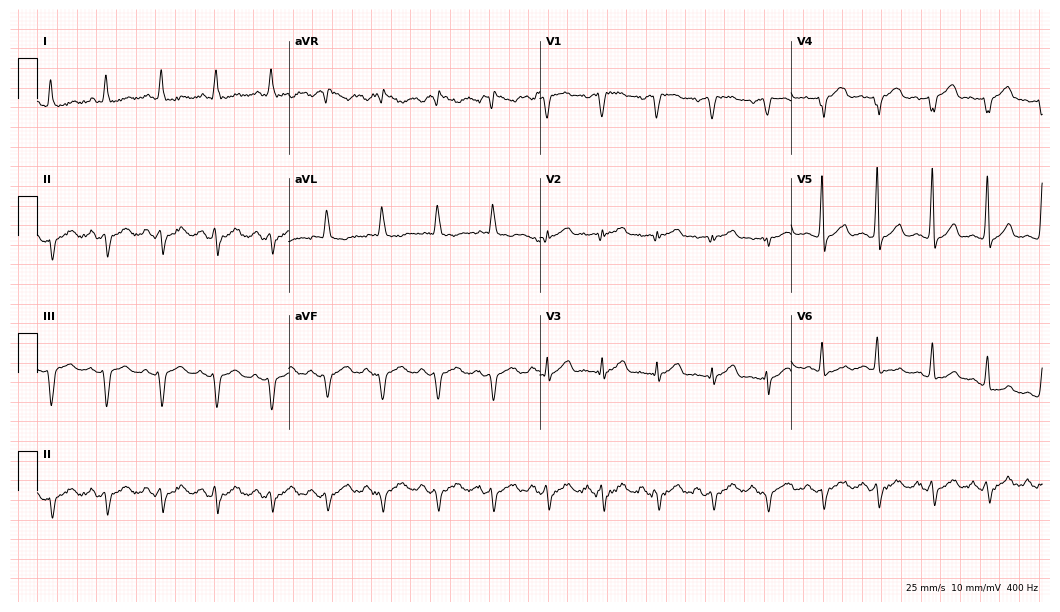
12-lead ECG from a 69-year-old female patient. Findings include sinus tachycardia (a sinus rate of 100 beats per minute or more).